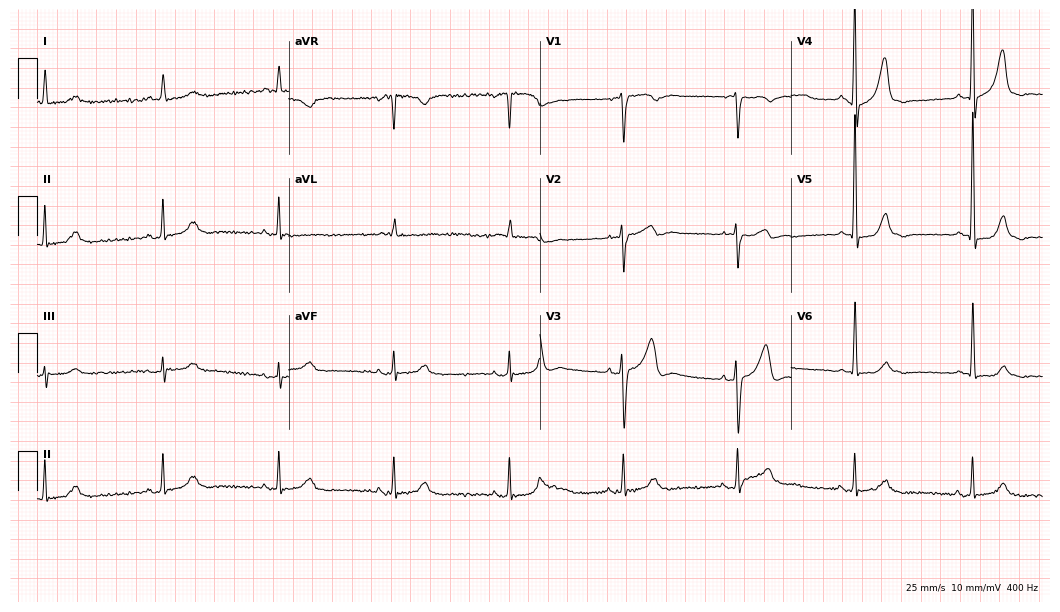
Standard 12-lead ECG recorded from a male patient, 78 years old. Read as a normal ECG.